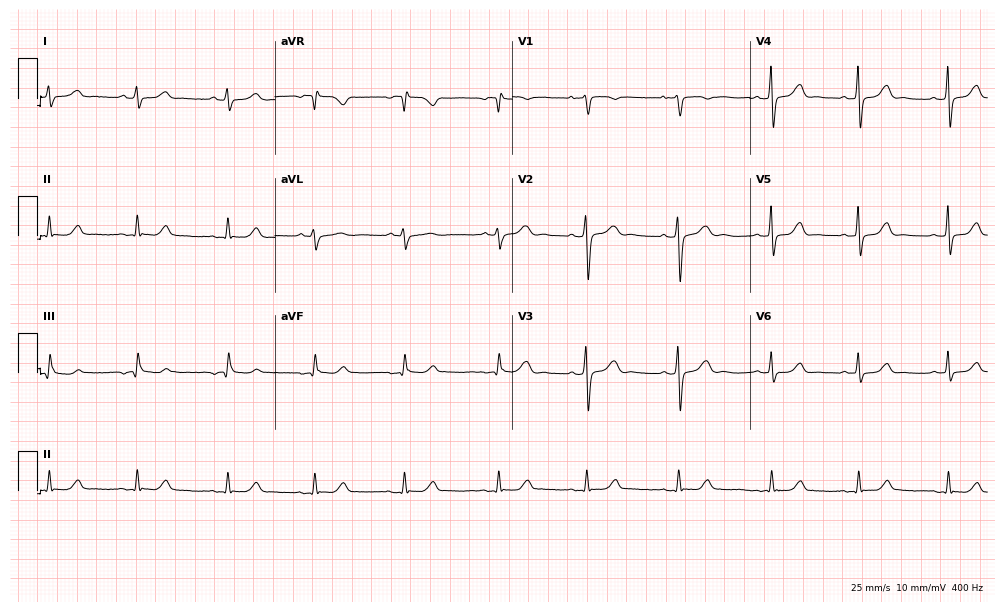
12-lead ECG (9.7-second recording at 400 Hz) from a woman, 46 years old. Screened for six findings — first-degree AV block, right bundle branch block, left bundle branch block, sinus bradycardia, atrial fibrillation, sinus tachycardia — none is recorded. Only these six findings were labelled.